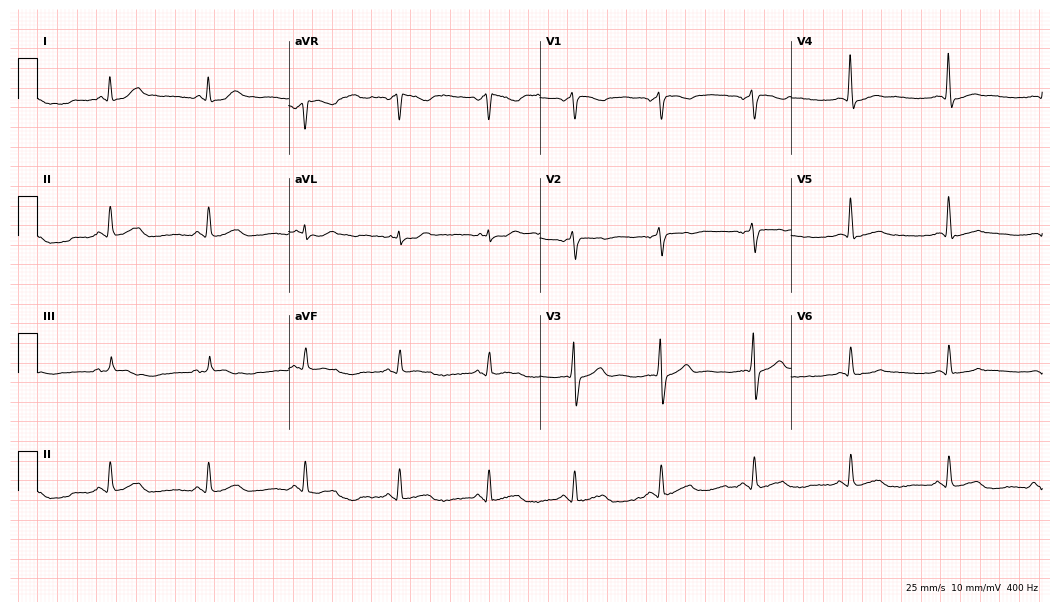
Electrocardiogram, a 39-year-old male patient. Of the six screened findings (first-degree AV block, right bundle branch block, left bundle branch block, sinus bradycardia, atrial fibrillation, sinus tachycardia), none is recorded. Only these six findings were labelled.